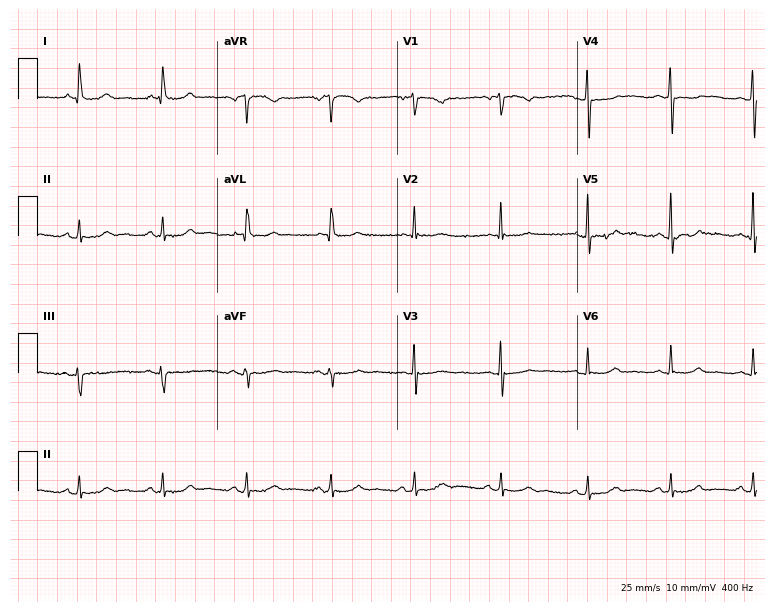
Resting 12-lead electrocardiogram (7.3-second recording at 400 Hz). Patient: a female, 56 years old. None of these six findings is recorded: first-degree AV block, right bundle branch block, left bundle branch block, sinus bradycardia, atrial fibrillation, sinus tachycardia. Only these six findings were labelled.